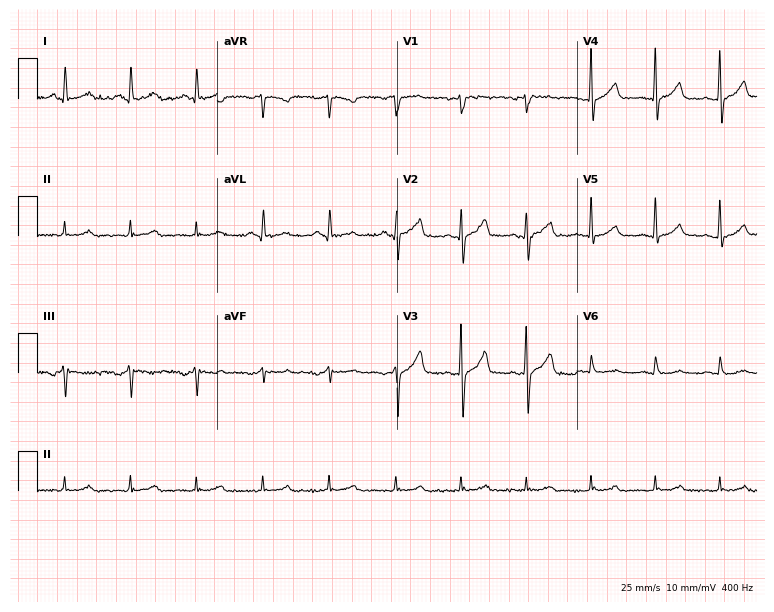
Electrocardiogram (7.3-second recording at 400 Hz), a 54-year-old male. Overall reading on record: normal ECG.